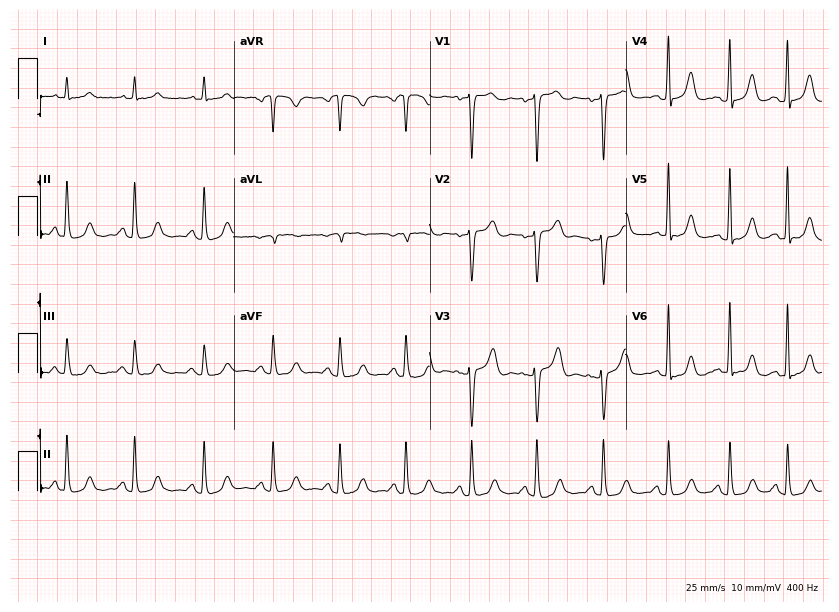
ECG (8-second recording at 400 Hz) — a 67-year-old woman. Labelled as a normal ECG.